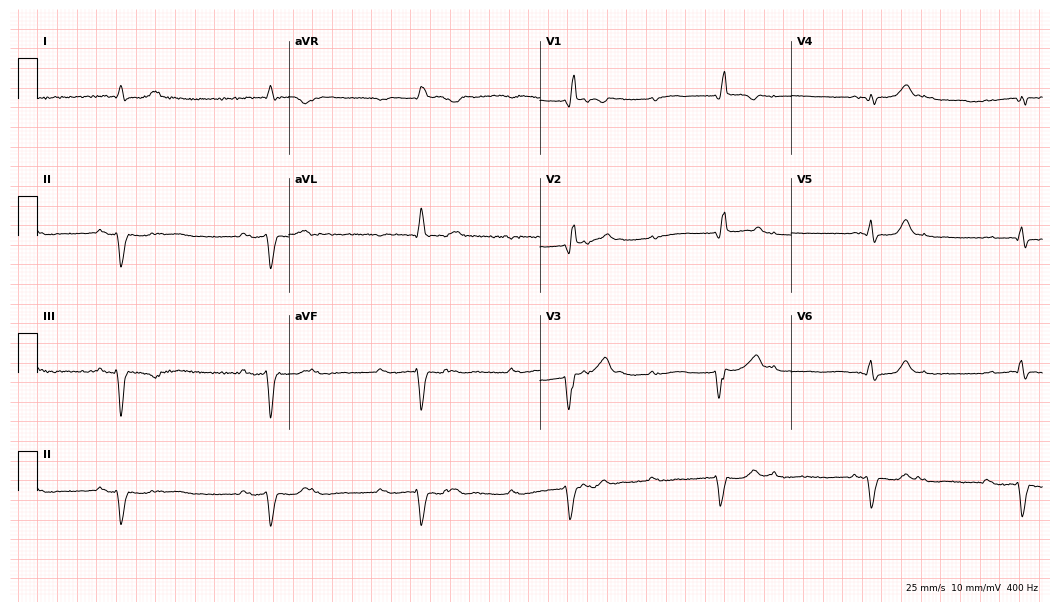
Resting 12-lead electrocardiogram (10.2-second recording at 400 Hz). Patient: a male, 82 years old. The tracing shows first-degree AV block.